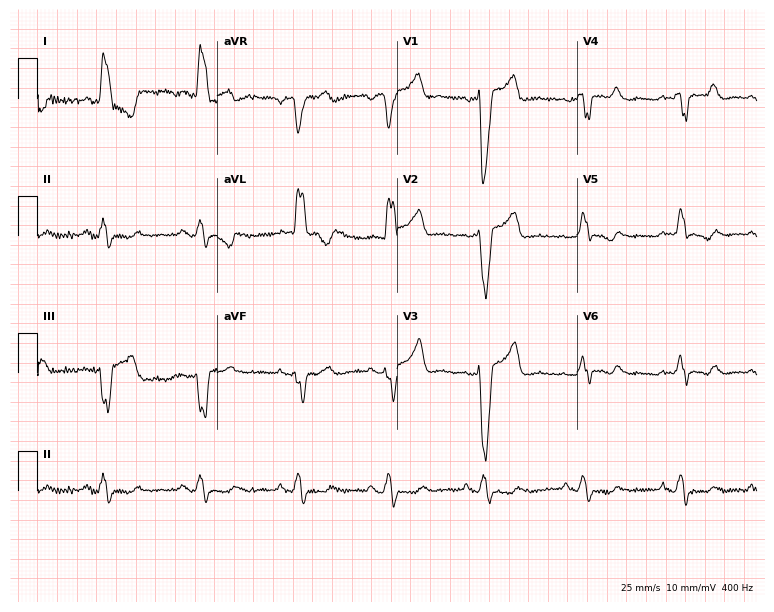
Resting 12-lead electrocardiogram (7.3-second recording at 400 Hz). Patient: a 54-year-old woman. The tracing shows left bundle branch block.